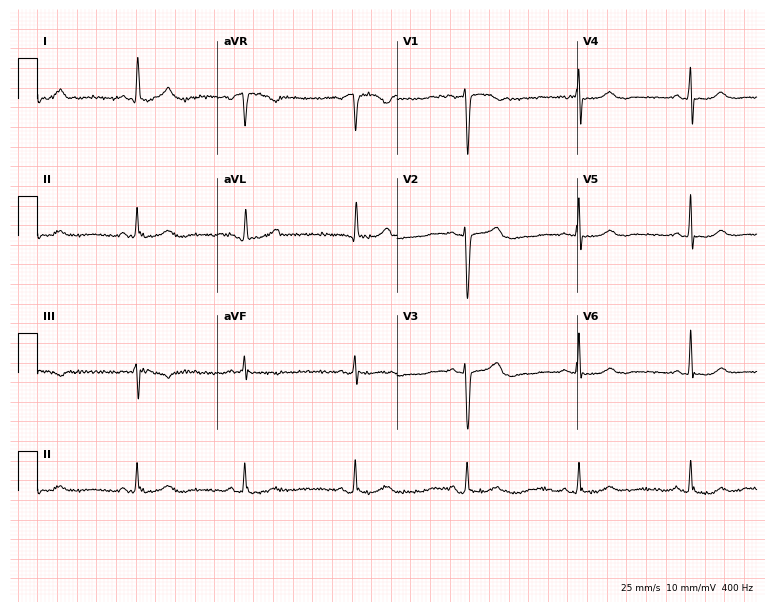
ECG — a woman, 54 years old. Labelled as a normal ECG.